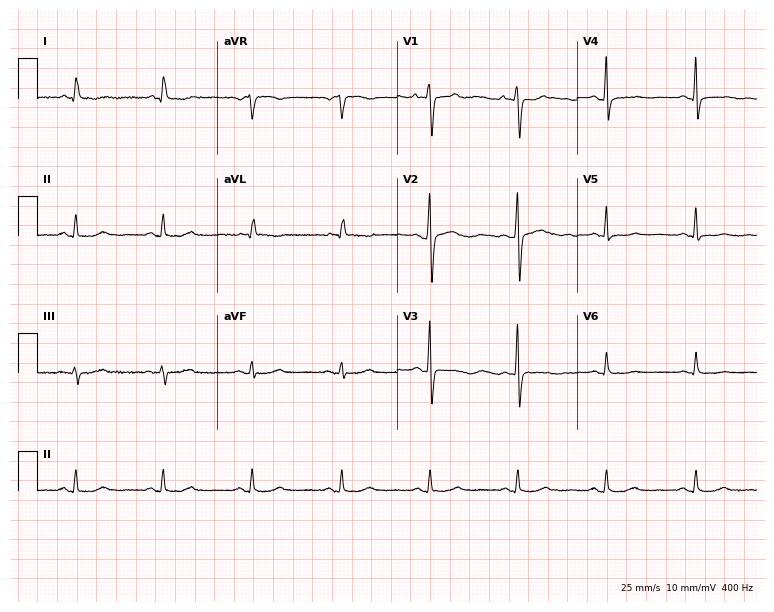
ECG (7.3-second recording at 400 Hz) — a female patient, 49 years old. Screened for six findings — first-degree AV block, right bundle branch block (RBBB), left bundle branch block (LBBB), sinus bradycardia, atrial fibrillation (AF), sinus tachycardia — none is recorded.